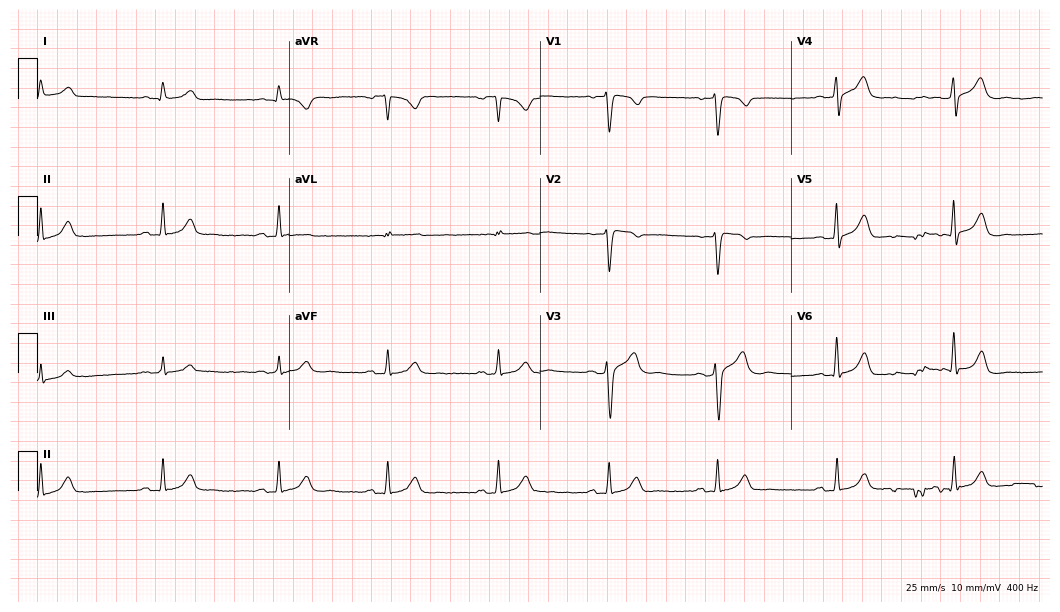
Standard 12-lead ECG recorded from a man, 42 years old (10.2-second recording at 400 Hz). Read as a normal ECG.